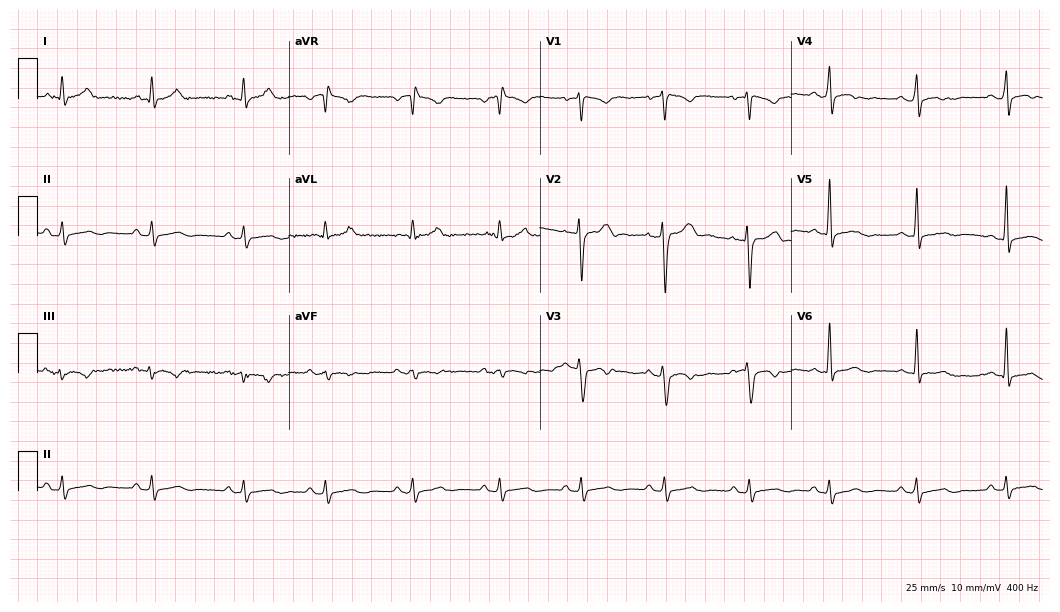
Electrocardiogram (10.2-second recording at 400 Hz), a 26-year-old man. Overall reading on record: normal ECG.